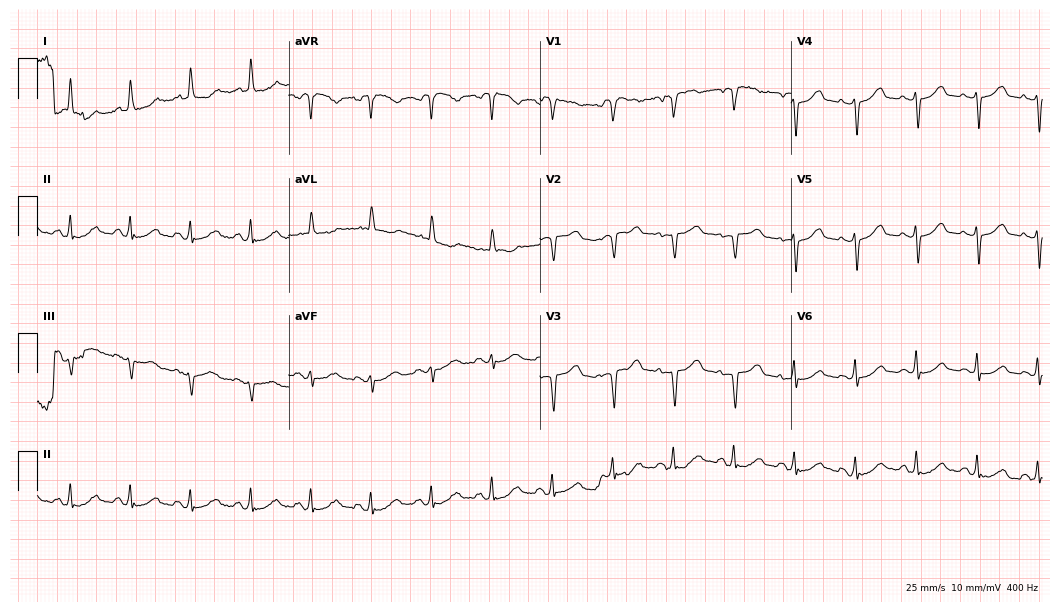
12-lead ECG (10.2-second recording at 400 Hz) from a 65-year-old female. Screened for six findings — first-degree AV block, right bundle branch block (RBBB), left bundle branch block (LBBB), sinus bradycardia, atrial fibrillation (AF), sinus tachycardia — none is recorded.